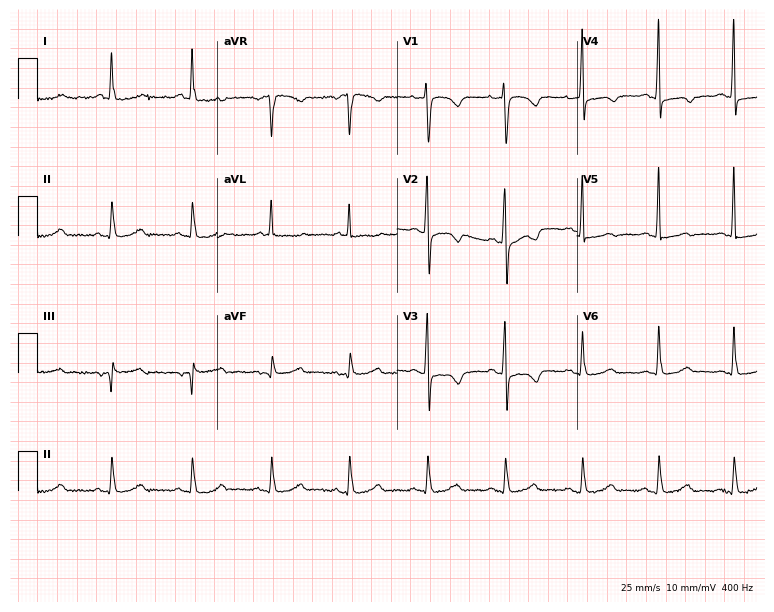
Standard 12-lead ECG recorded from a female, 73 years old. None of these six findings is recorded: first-degree AV block, right bundle branch block (RBBB), left bundle branch block (LBBB), sinus bradycardia, atrial fibrillation (AF), sinus tachycardia.